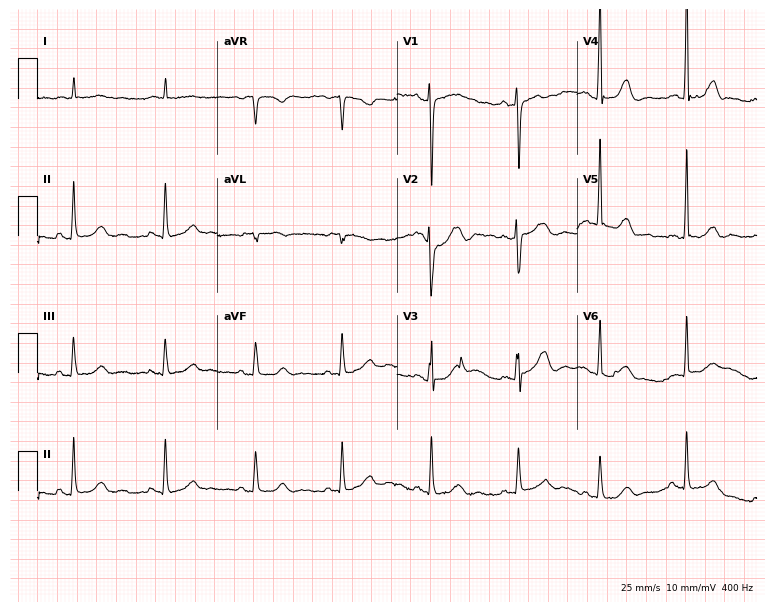
Resting 12-lead electrocardiogram (7.3-second recording at 400 Hz). Patient: a 67-year-old female. None of these six findings is recorded: first-degree AV block, right bundle branch block, left bundle branch block, sinus bradycardia, atrial fibrillation, sinus tachycardia.